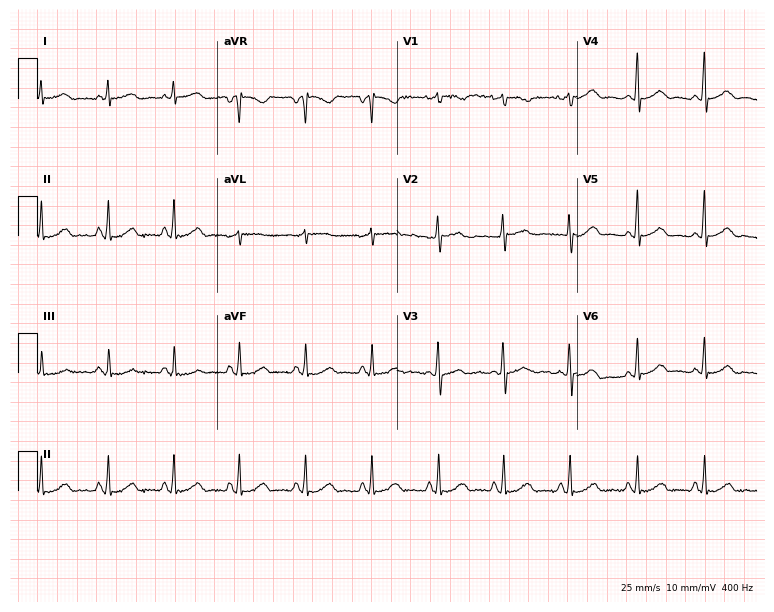
12-lead ECG from a 57-year-old female. Recorded interpretation: within normal limits.